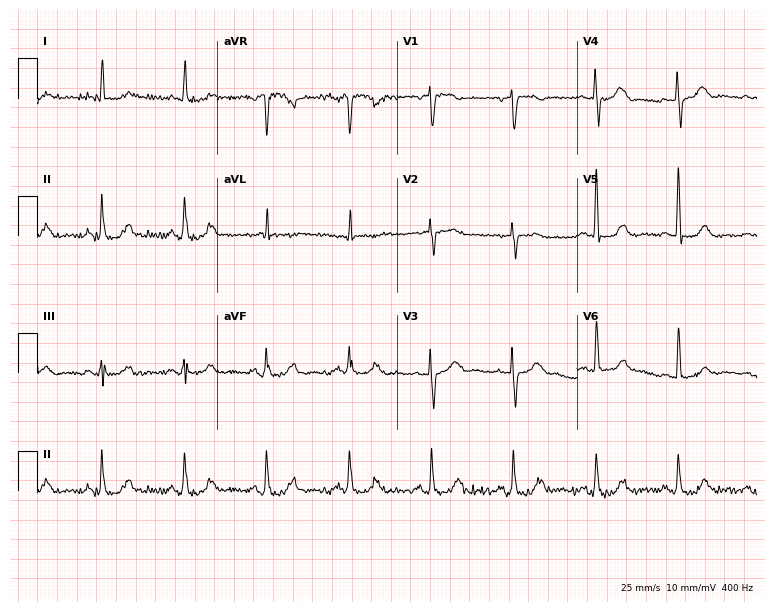
Electrocardiogram, a 78-year-old female patient. Overall reading on record: normal ECG.